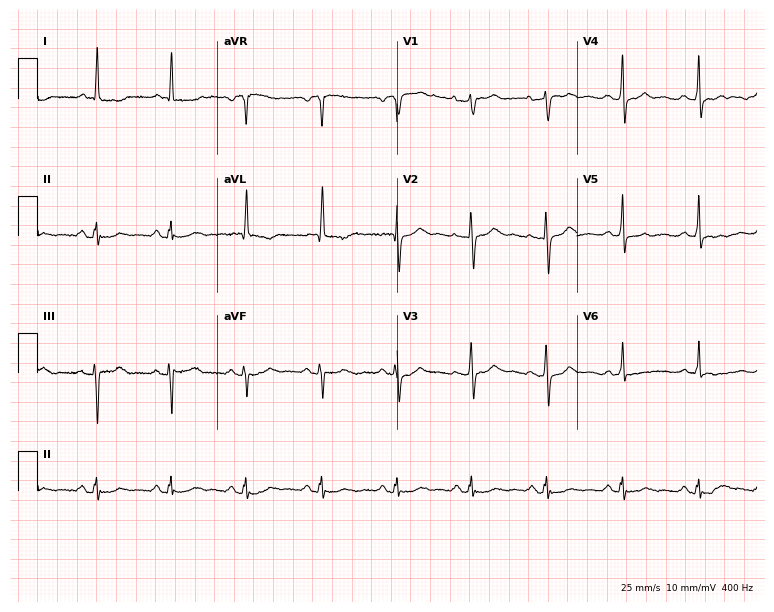
ECG — a female patient, 61 years old. Screened for six findings — first-degree AV block, right bundle branch block, left bundle branch block, sinus bradycardia, atrial fibrillation, sinus tachycardia — none is recorded.